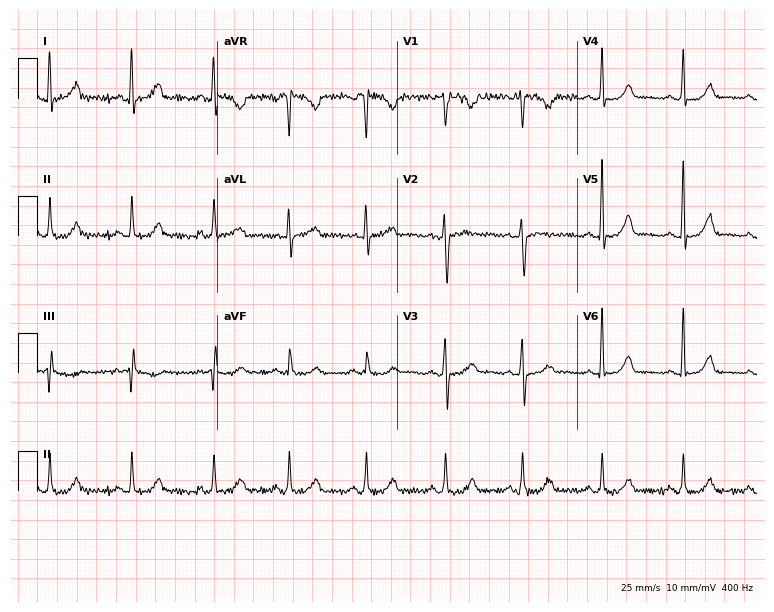
12-lead ECG (7.3-second recording at 400 Hz) from a woman, 35 years old. Labelled as a normal ECG.